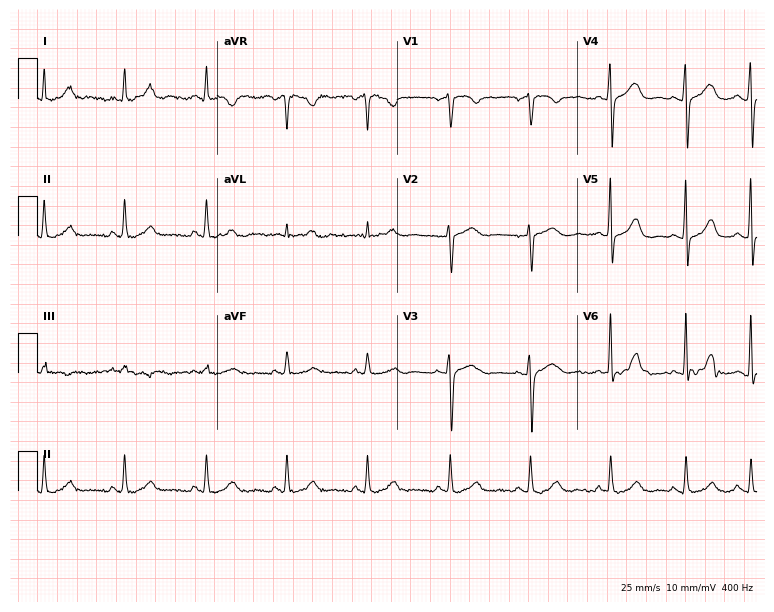
Standard 12-lead ECG recorded from a 52-year-old woman (7.3-second recording at 400 Hz). None of these six findings is recorded: first-degree AV block, right bundle branch block (RBBB), left bundle branch block (LBBB), sinus bradycardia, atrial fibrillation (AF), sinus tachycardia.